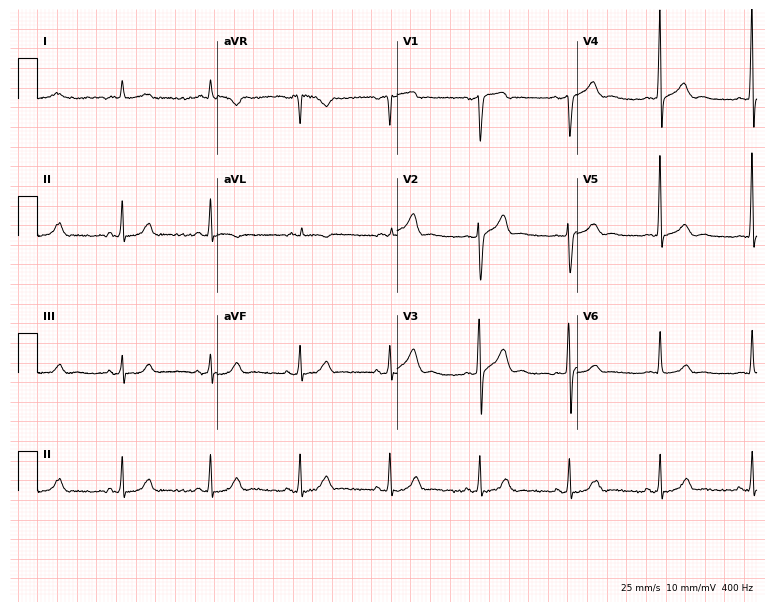
Resting 12-lead electrocardiogram (7.3-second recording at 400 Hz). Patient: a man, 57 years old. Read as a normal ECG.